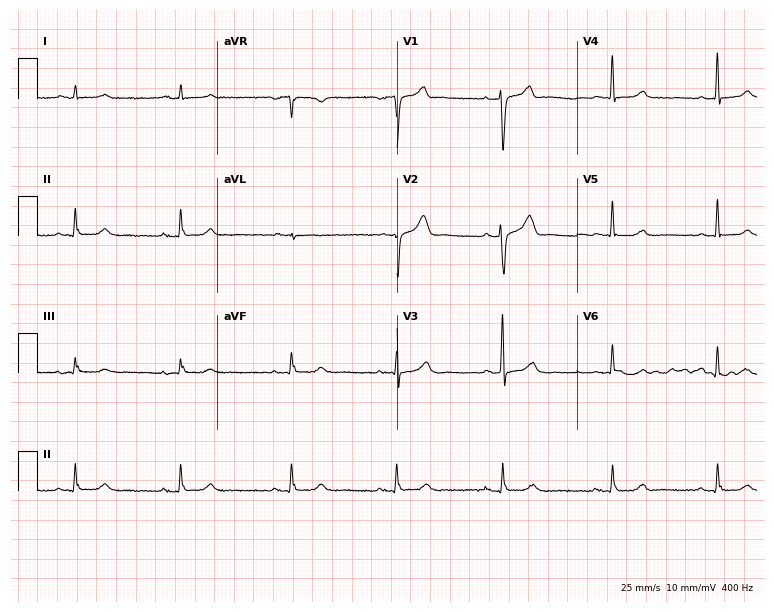
12-lead ECG (7.3-second recording at 400 Hz) from a male patient, 65 years old. Labelled as a normal ECG.